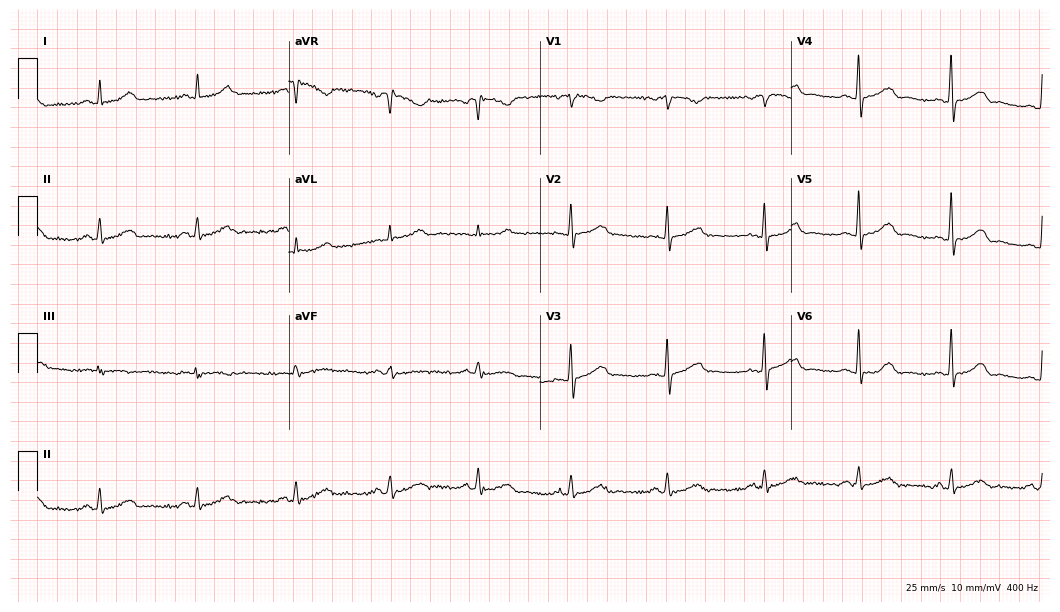
Electrocardiogram (10.2-second recording at 400 Hz), a female, 48 years old. Overall reading on record: normal ECG.